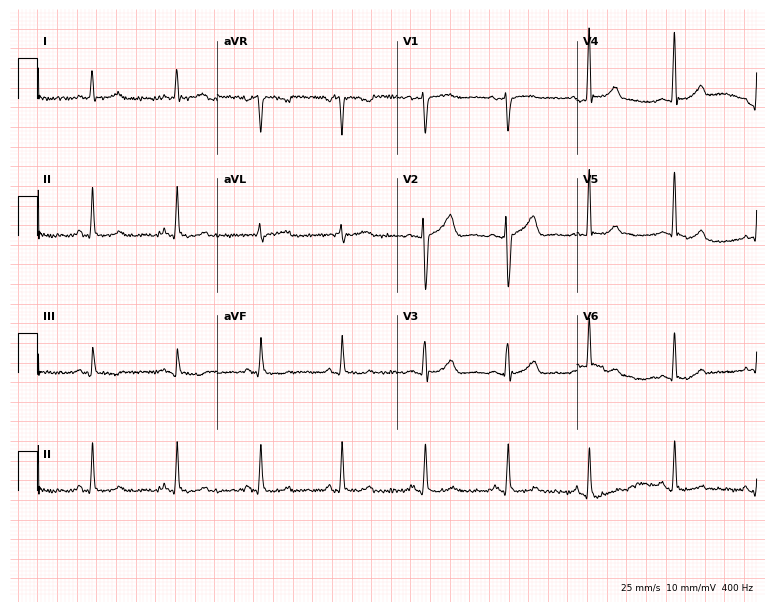
ECG — a 47-year-old male. Screened for six findings — first-degree AV block, right bundle branch block, left bundle branch block, sinus bradycardia, atrial fibrillation, sinus tachycardia — none is recorded. Only these six findings were labelled.